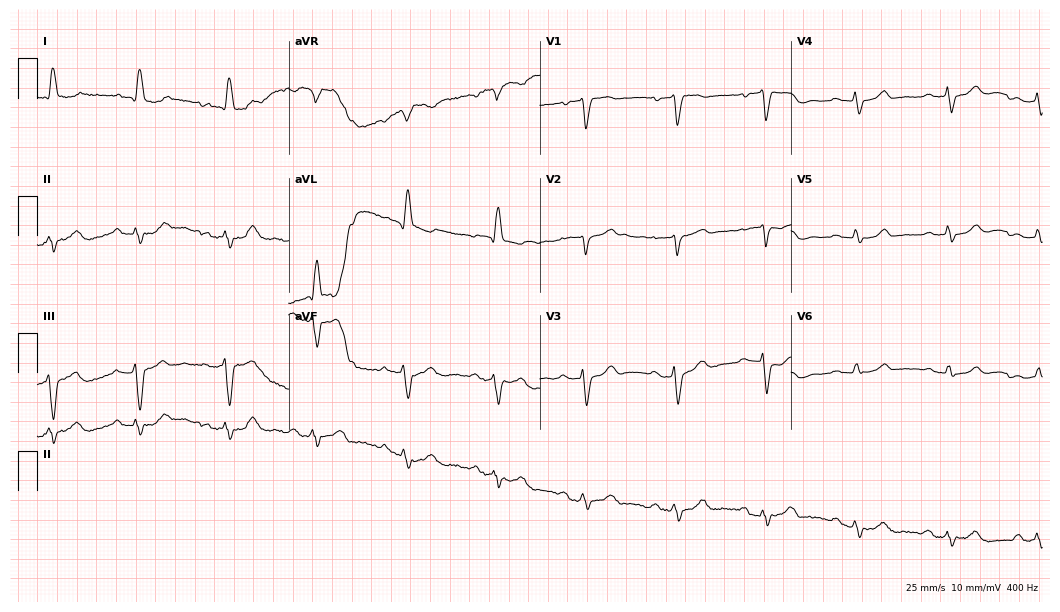
12-lead ECG from a female, 78 years old. Screened for six findings — first-degree AV block, right bundle branch block, left bundle branch block, sinus bradycardia, atrial fibrillation, sinus tachycardia — none is recorded. Other findings, if any, are not listed.